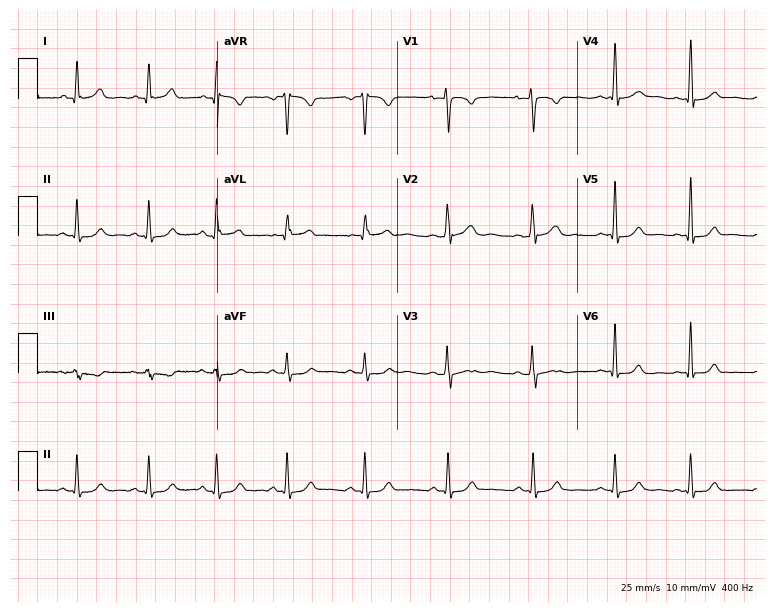
12-lead ECG from a female, 30 years old (7.3-second recording at 400 Hz). Recorded interpretation: within normal limits.